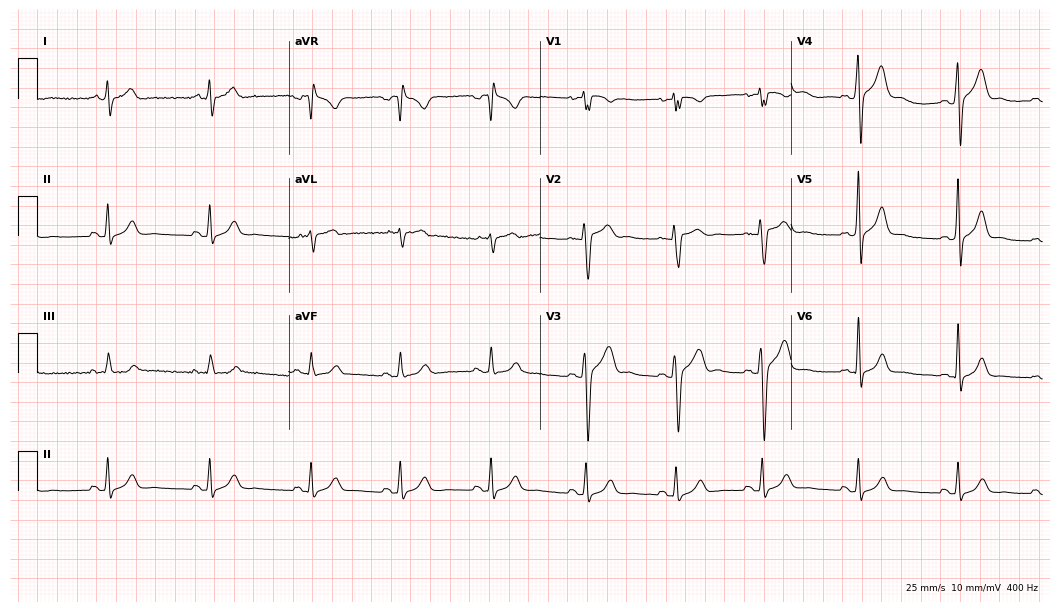
Standard 12-lead ECG recorded from a male patient, 23 years old (10.2-second recording at 400 Hz). Read as a normal ECG.